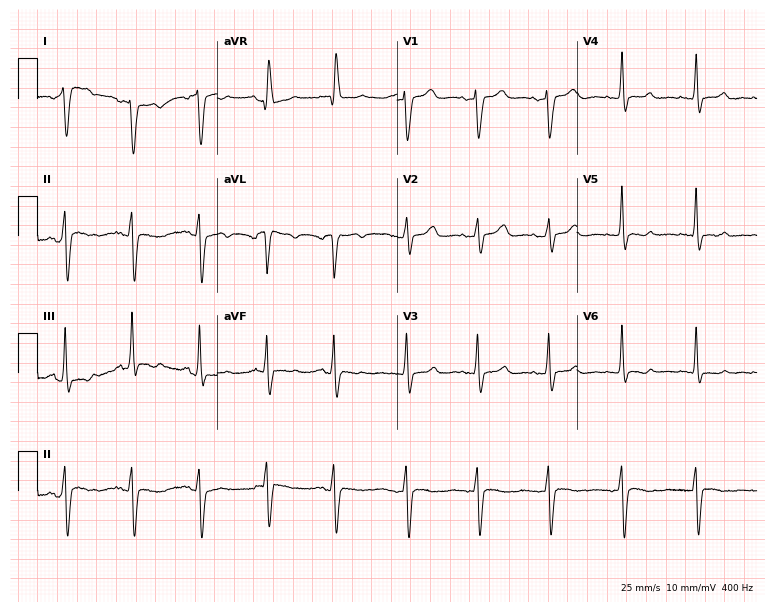
Standard 12-lead ECG recorded from a 50-year-old woman. None of these six findings is recorded: first-degree AV block, right bundle branch block, left bundle branch block, sinus bradycardia, atrial fibrillation, sinus tachycardia. Other findings, if any, are not listed.